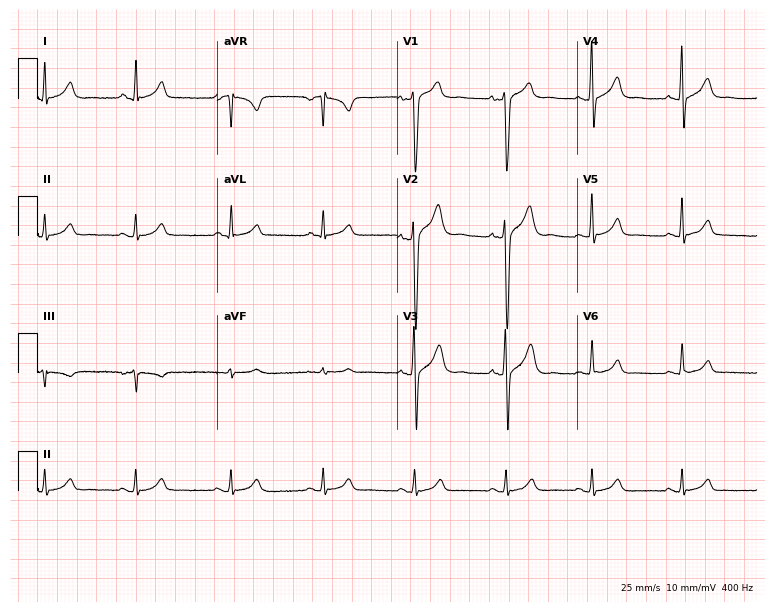
ECG — a male patient, 38 years old. Screened for six findings — first-degree AV block, right bundle branch block (RBBB), left bundle branch block (LBBB), sinus bradycardia, atrial fibrillation (AF), sinus tachycardia — none is recorded.